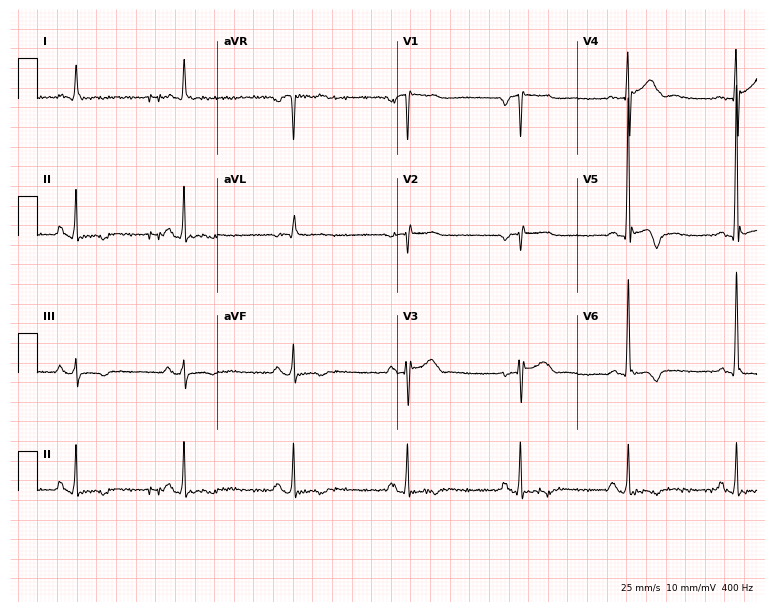
Standard 12-lead ECG recorded from a 67-year-old man (7.3-second recording at 400 Hz). None of these six findings is recorded: first-degree AV block, right bundle branch block (RBBB), left bundle branch block (LBBB), sinus bradycardia, atrial fibrillation (AF), sinus tachycardia.